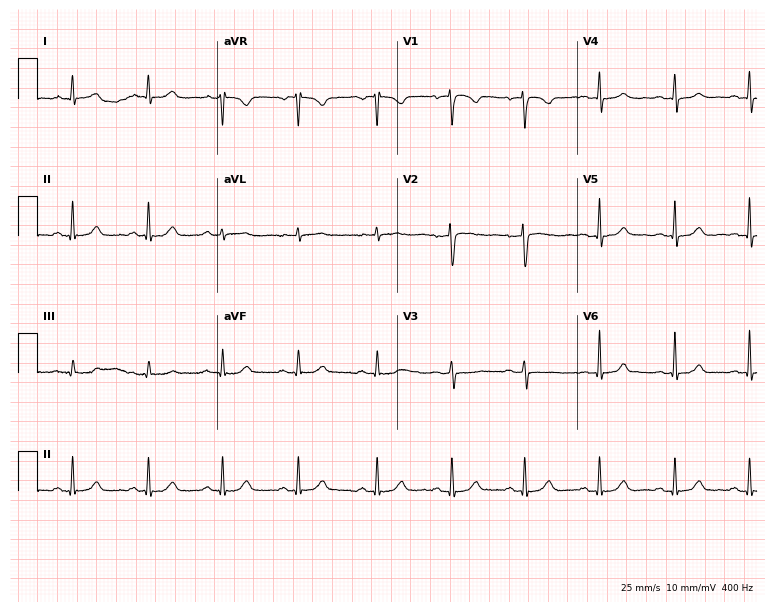
Electrocardiogram (7.3-second recording at 400 Hz), a woman, 37 years old. Overall reading on record: normal ECG.